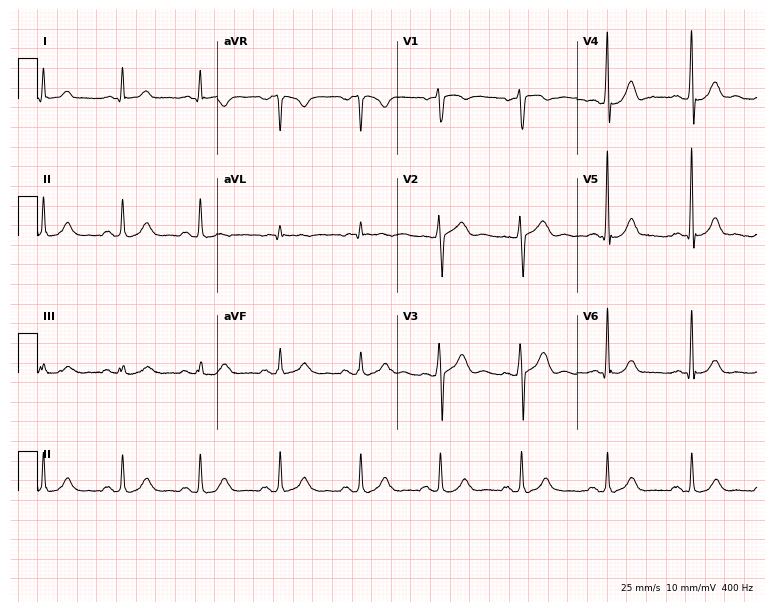
12-lead ECG from a 55-year-old man. Labelled as a normal ECG.